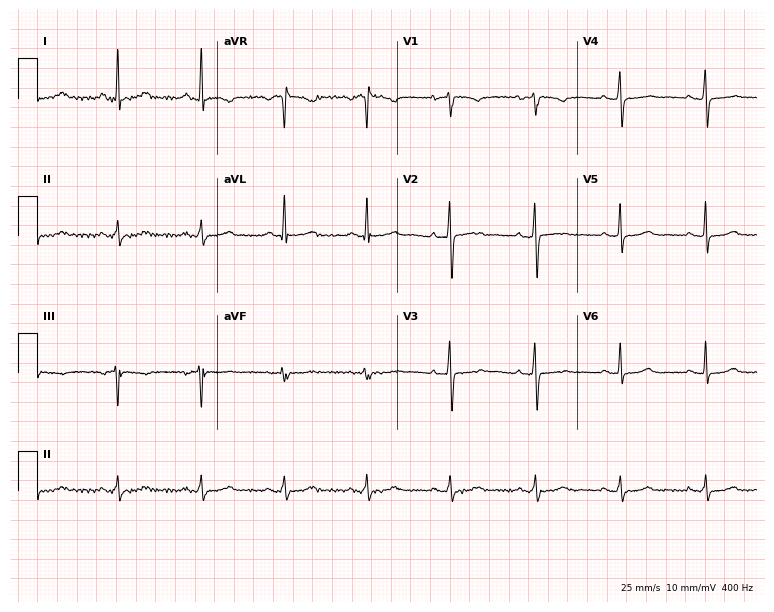
Electrocardiogram, a 58-year-old female. Of the six screened findings (first-degree AV block, right bundle branch block, left bundle branch block, sinus bradycardia, atrial fibrillation, sinus tachycardia), none is recorded. Other findings, if any, are not listed.